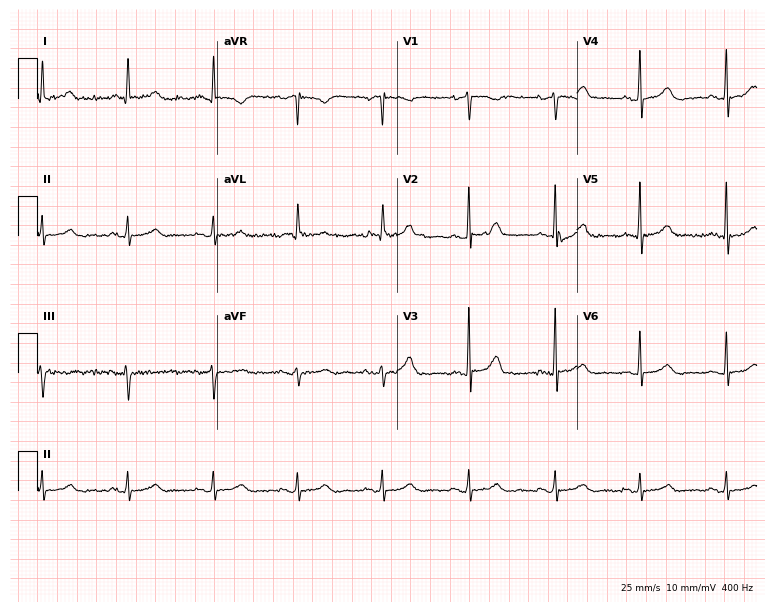
12-lead ECG (7.3-second recording at 400 Hz) from a 69-year-old female patient. Labelled as a normal ECG.